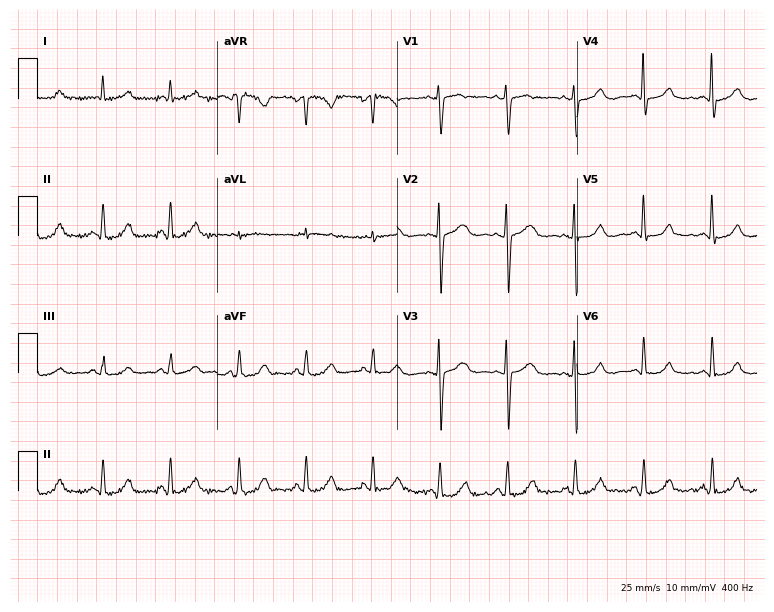
Standard 12-lead ECG recorded from a 49-year-old woman (7.3-second recording at 400 Hz). None of these six findings is recorded: first-degree AV block, right bundle branch block, left bundle branch block, sinus bradycardia, atrial fibrillation, sinus tachycardia. Other findings, if any, are not listed.